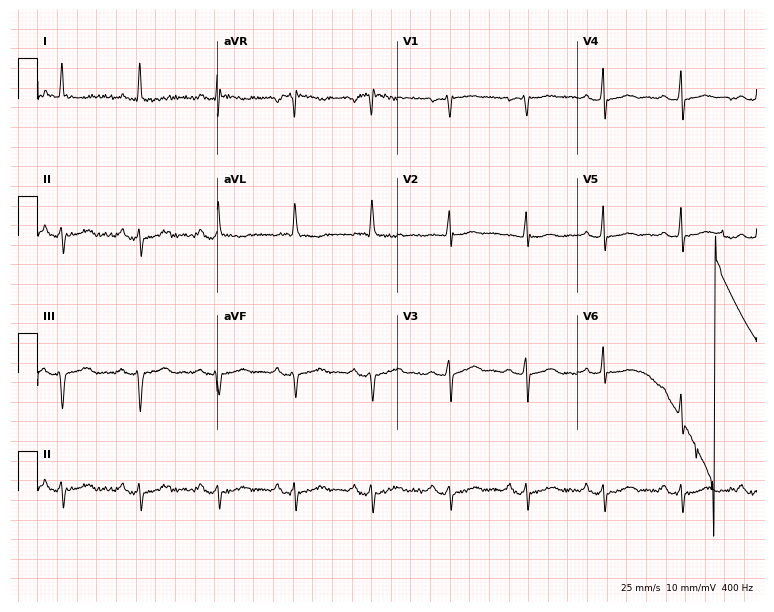
12-lead ECG from a 71-year-old female patient. Screened for six findings — first-degree AV block, right bundle branch block, left bundle branch block, sinus bradycardia, atrial fibrillation, sinus tachycardia — none is recorded. Other findings, if any, are not listed.